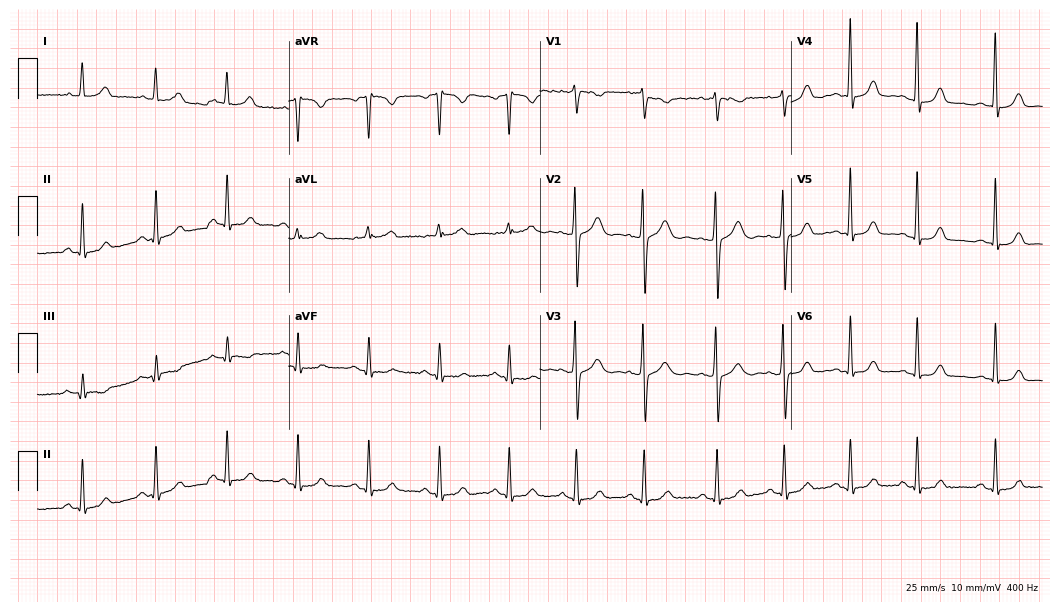
12-lead ECG from a woman, 39 years old. No first-degree AV block, right bundle branch block (RBBB), left bundle branch block (LBBB), sinus bradycardia, atrial fibrillation (AF) or sinus tachycardia recorded for this tracing.